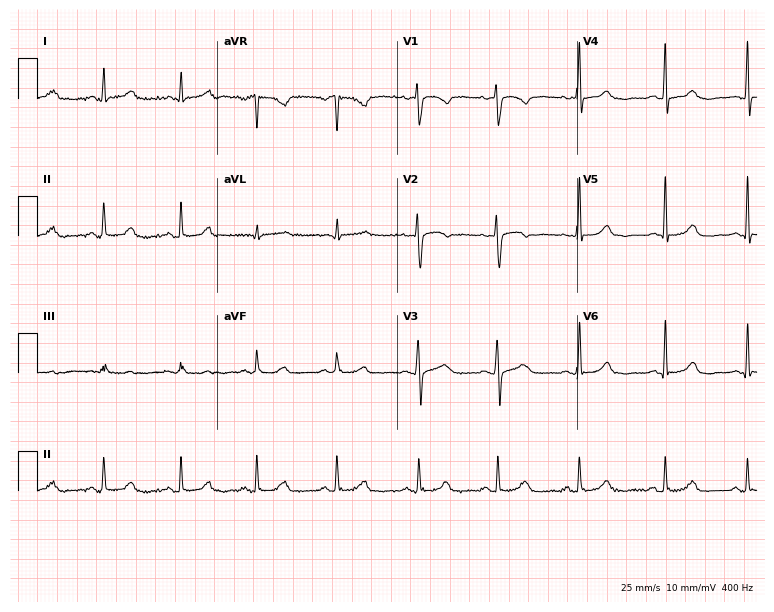
Resting 12-lead electrocardiogram. Patient: a 48-year-old female. Read as a normal ECG.